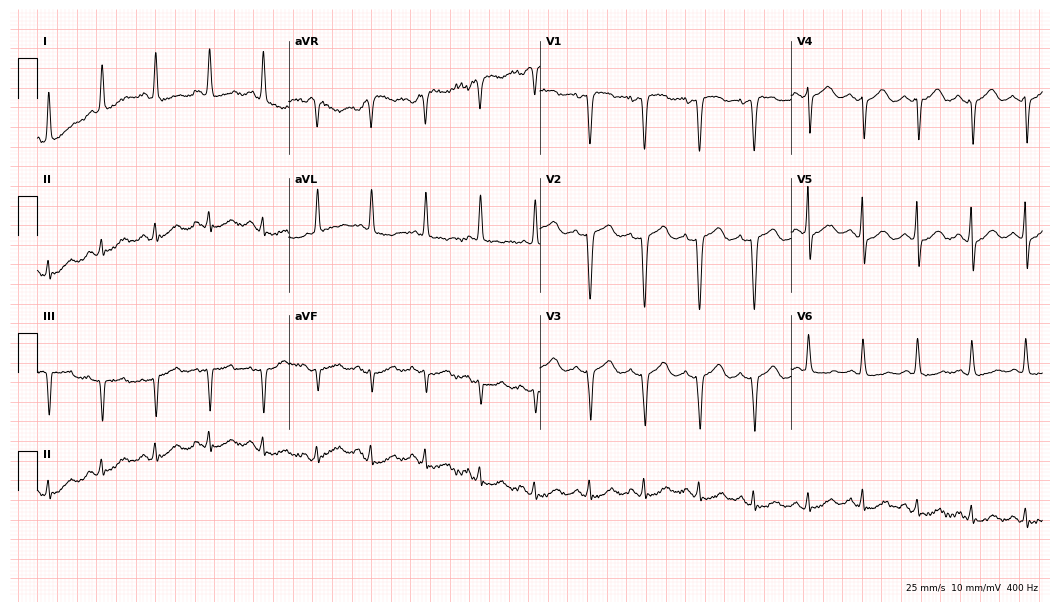
Standard 12-lead ECG recorded from a 63-year-old woman (10.2-second recording at 400 Hz). None of these six findings is recorded: first-degree AV block, right bundle branch block, left bundle branch block, sinus bradycardia, atrial fibrillation, sinus tachycardia.